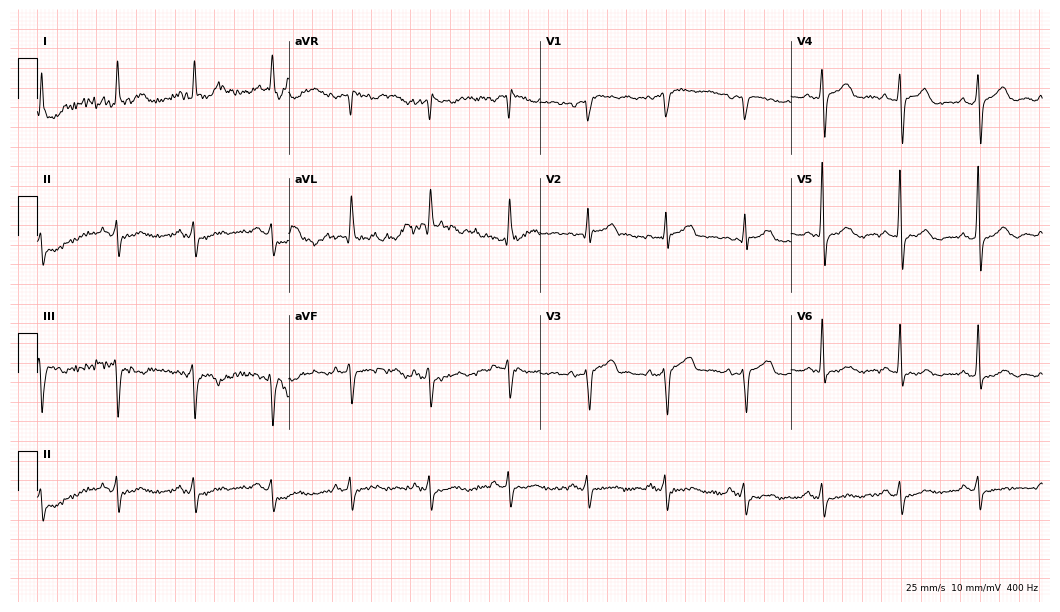
Standard 12-lead ECG recorded from a male, 74 years old (10.2-second recording at 400 Hz). None of these six findings is recorded: first-degree AV block, right bundle branch block, left bundle branch block, sinus bradycardia, atrial fibrillation, sinus tachycardia.